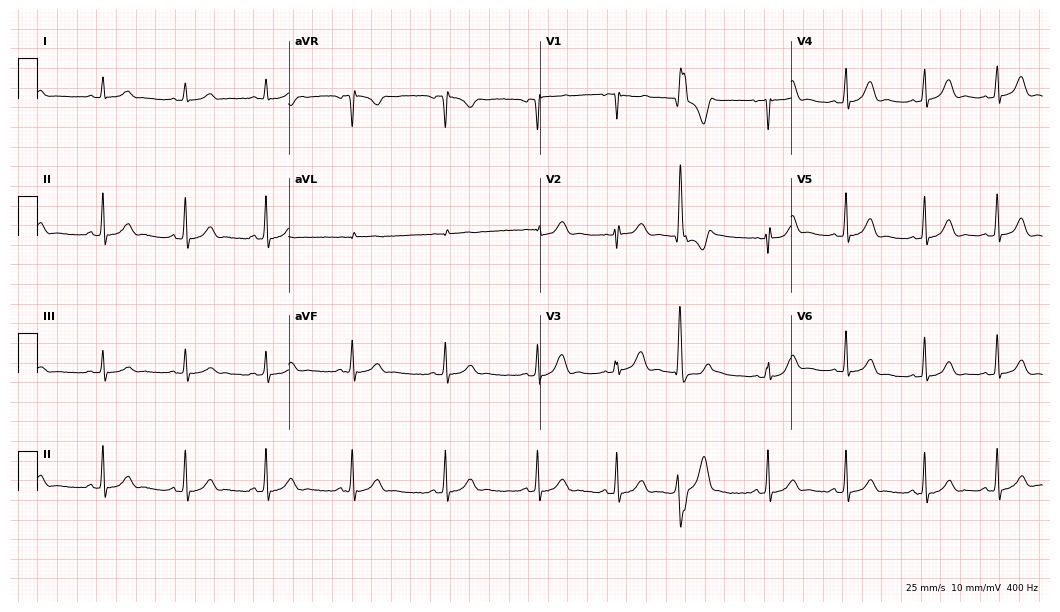
Electrocardiogram, a 22-year-old female. Of the six screened findings (first-degree AV block, right bundle branch block (RBBB), left bundle branch block (LBBB), sinus bradycardia, atrial fibrillation (AF), sinus tachycardia), none is recorded. Other findings, if any, are not listed.